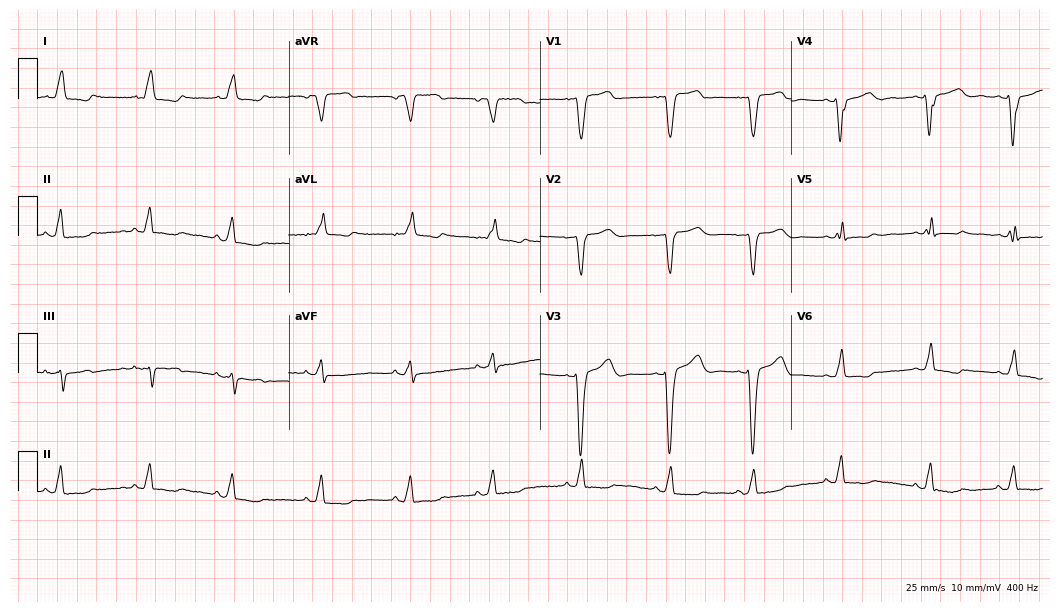
Standard 12-lead ECG recorded from a 75-year-old woman. The tracing shows left bundle branch block.